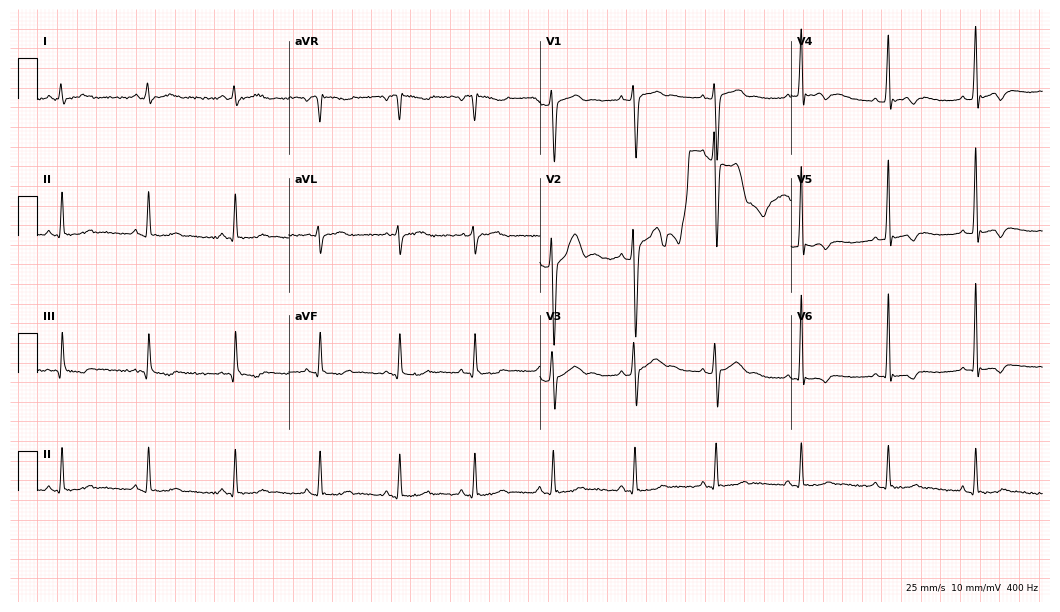
Standard 12-lead ECG recorded from a 22-year-old male (10.2-second recording at 400 Hz). None of these six findings is recorded: first-degree AV block, right bundle branch block (RBBB), left bundle branch block (LBBB), sinus bradycardia, atrial fibrillation (AF), sinus tachycardia.